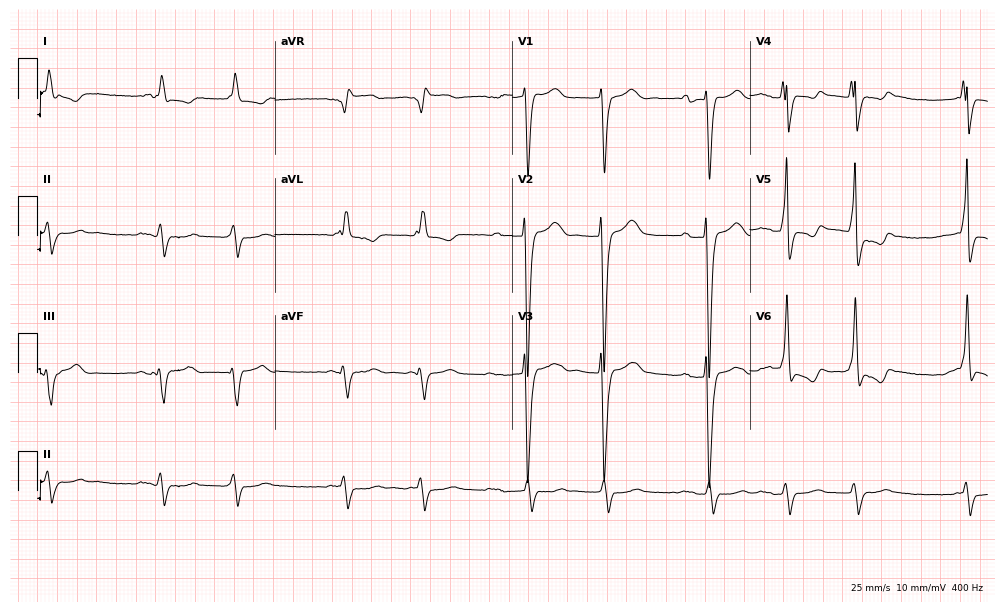
ECG — an 83-year-old male patient. Findings include left bundle branch block (LBBB), atrial fibrillation (AF).